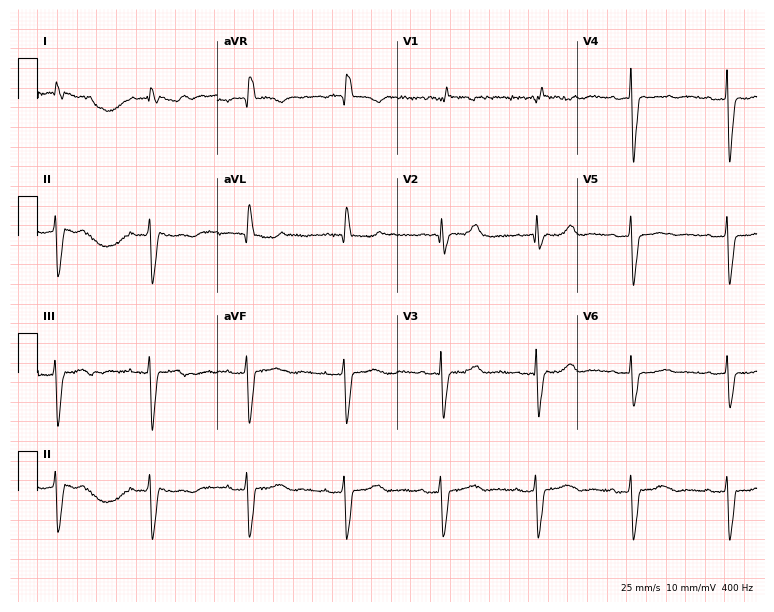
12-lead ECG (7.3-second recording at 400 Hz) from a woman, 83 years old. Screened for six findings — first-degree AV block, right bundle branch block, left bundle branch block, sinus bradycardia, atrial fibrillation, sinus tachycardia — none is recorded.